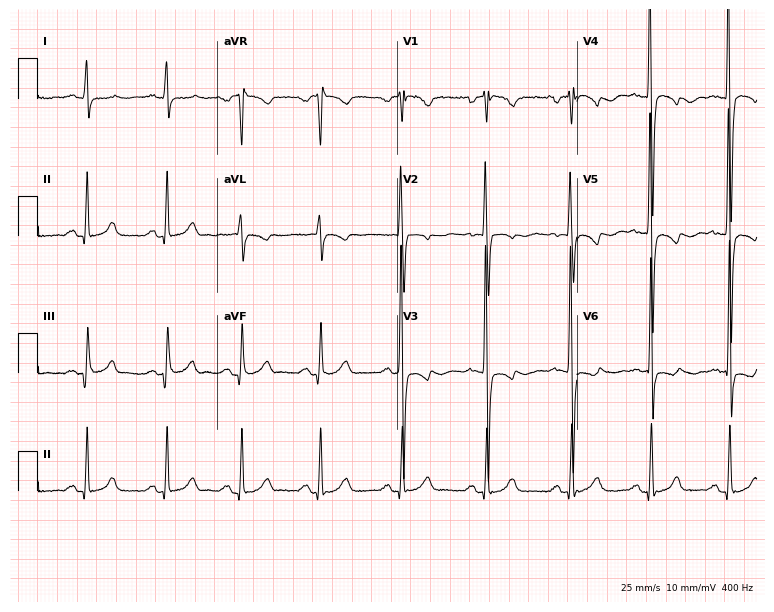
12-lead ECG from a man, 20 years old (7.3-second recording at 400 Hz). No first-degree AV block, right bundle branch block (RBBB), left bundle branch block (LBBB), sinus bradycardia, atrial fibrillation (AF) or sinus tachycardia recorded for this tracing.